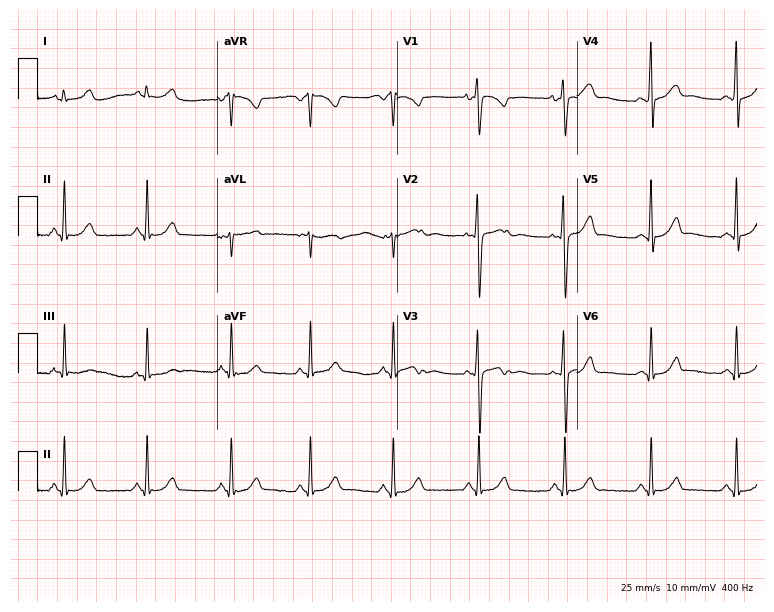
Resting 12-lead electrocardiogram. Patient: a woman, 18 years old. Read as a normal ECG.